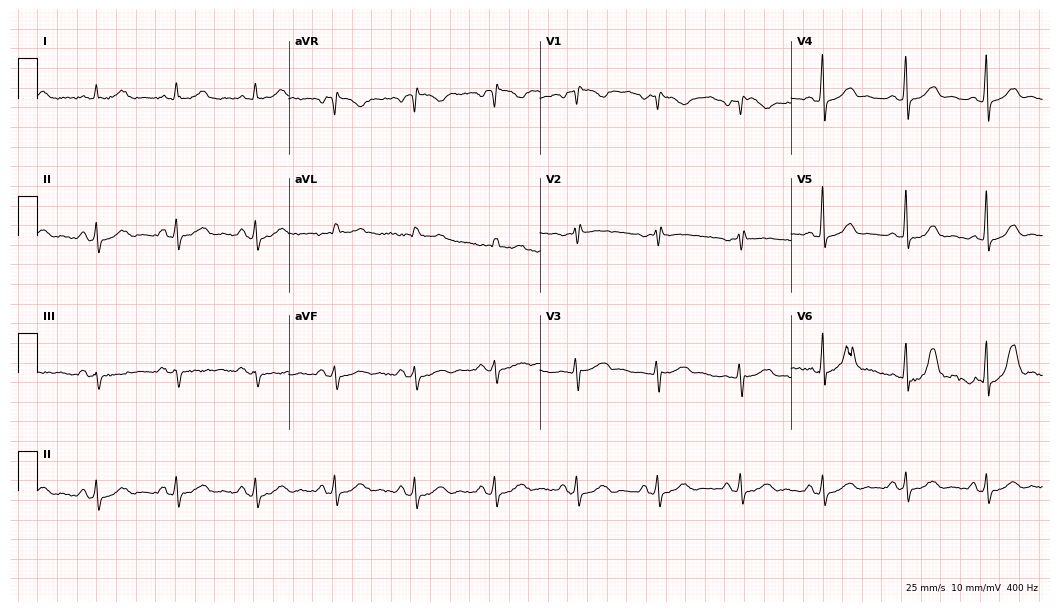
Resting 12-lead electrocardiogram. Patient: a 46-year-old female. None of these six findings is recorded: first-degree AV block, right bundle branch block, left bundle branch block, sinus bradycardia, atrial fibrillation, sinus tachycardia. Findings outside these six are not listed.